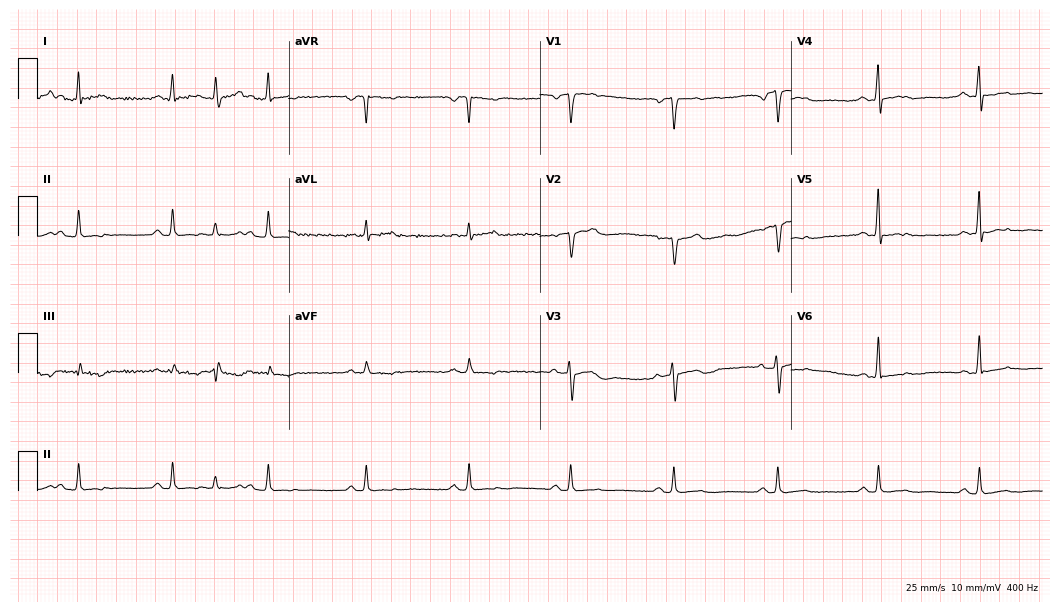
ECG (10.2-second recording at 400 Hz) — a 47-year-old male patient. Screened for six findings — first-degree AV block, right bundle branch block, left bundle branch block, sinus bradycardia, atrial fibrillation, sinus tachycardia — none is recorded.